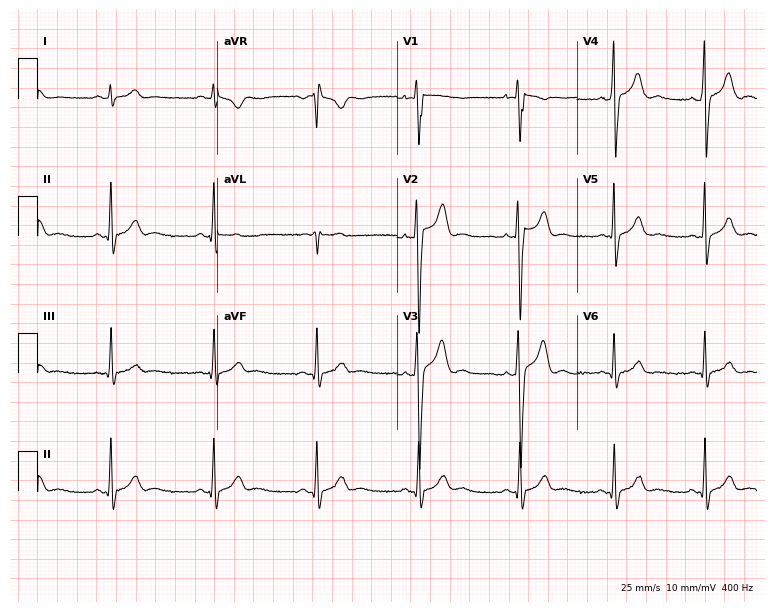
12-lead ECG from a 21-year-old man (7.3-second recording at 400 Hz). No first-degree AV block, right bundle branch block, left bundle branch block, sinus bradycardia, atrial fibrillation or sinus tachycardia recorded for this tracing.